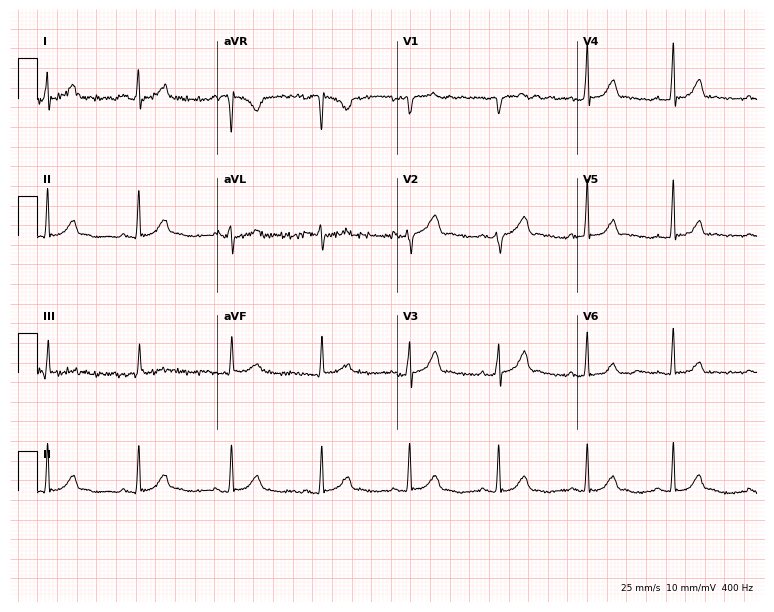
Resting 12-lead electrocardiogram. Patient: a 31-year-old man. None of these six findings is recorded: first-degree AV block, right bundle branch block (RBBB), left bundle branch block (LBBB), sinus bradycardia, atrial fibrillation (AF), sinus tachycardia.